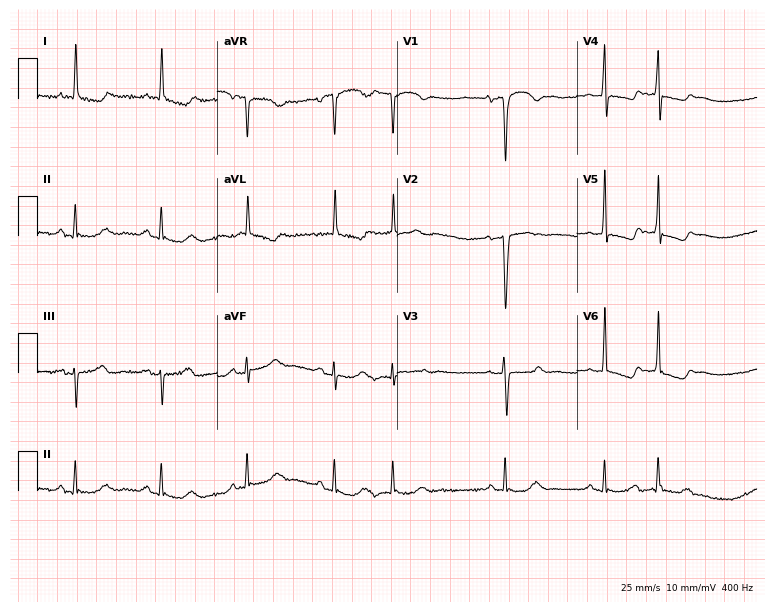
ECG — a 74-year-old female patient. Screened for six findings — first-degree AV block, right bundle branch block, left bundle branch block, sinus bradycardia, atrial fibrillation, sinus tachycardia — none is recorded. Findings outside these six are not listed.